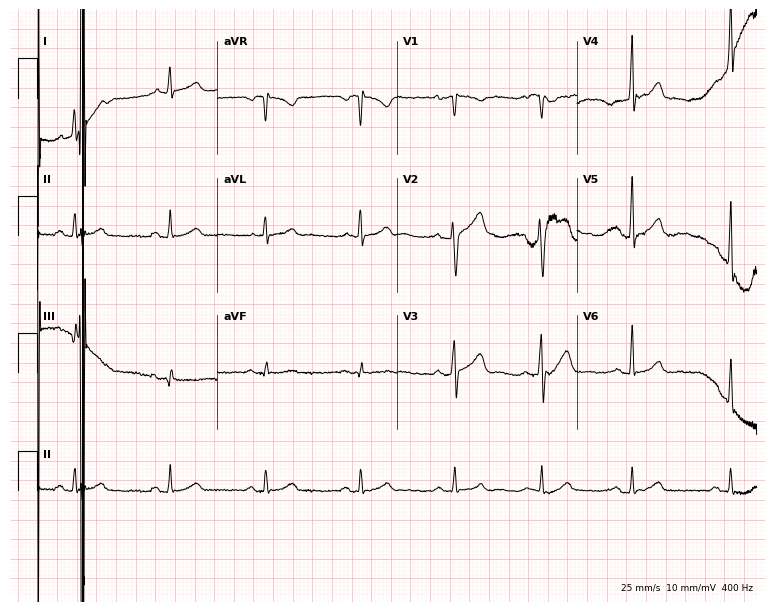
Resting 12-lead electrocardiogram (7.3-second recording at 400 Hz). Patient: a male, 30 years old. Read as a normal ECG.